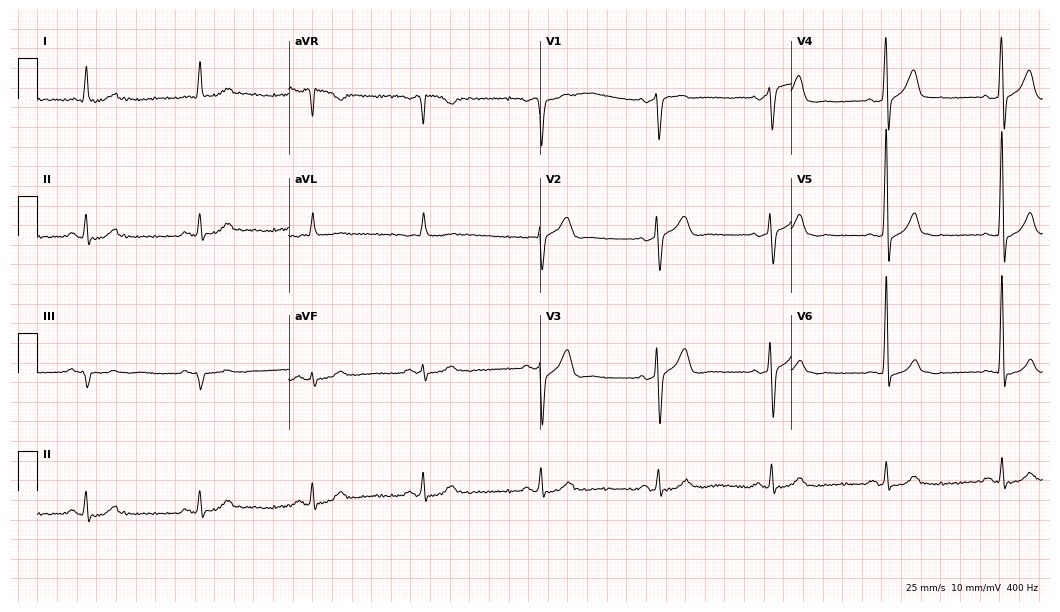
12-lead ECG from a 71-year-old man (10.2-second recording at 400 Hz). Recorded interpretation: within normal limits.